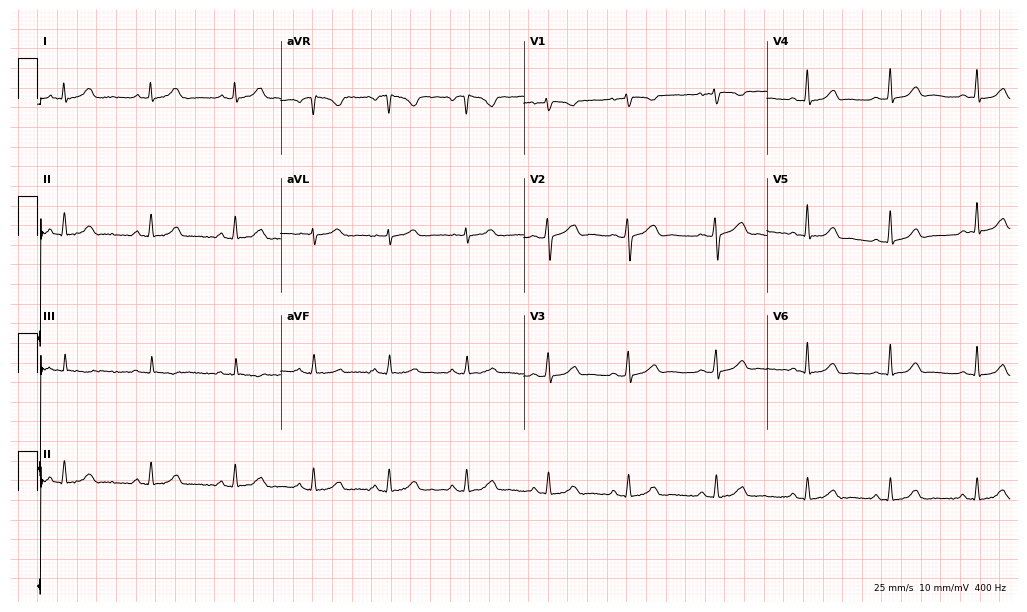
12-lead ECG from a 35-year-old female. No first-degree AV block, right bundle branch block, left bundle branch block, sinus bradycardia, atrial fibrillation or sinus tachycardia recorded for this tracing.